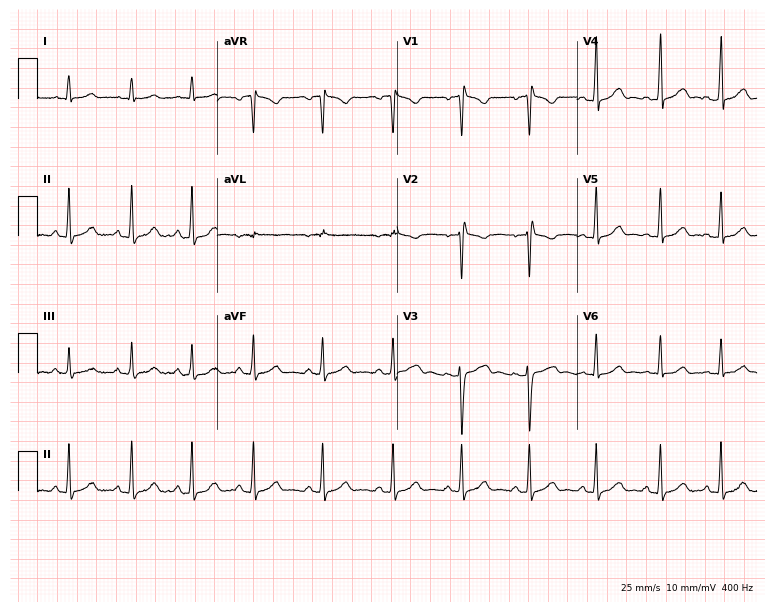
Electrocardiogram, a woman, 18 years old. Of the six screened findings (first-degree AV block, right bundle branch block, left bundle branch block, sinus bradycardia, atrial fibrillation, sinus tachycardia), none is recorded.